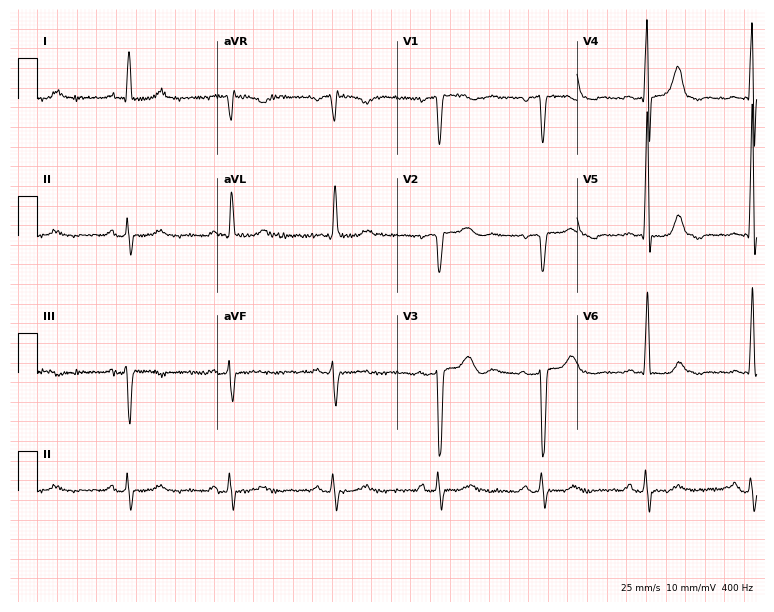
ECG — an 83-year-old woman. Screened for six findings — first-degree AV block, right bundle branch block, left bundle branch block, sinus bradycardia, atrial fibrillation, sinus tachycardia — none is recorded. Only these six findings were labelled.